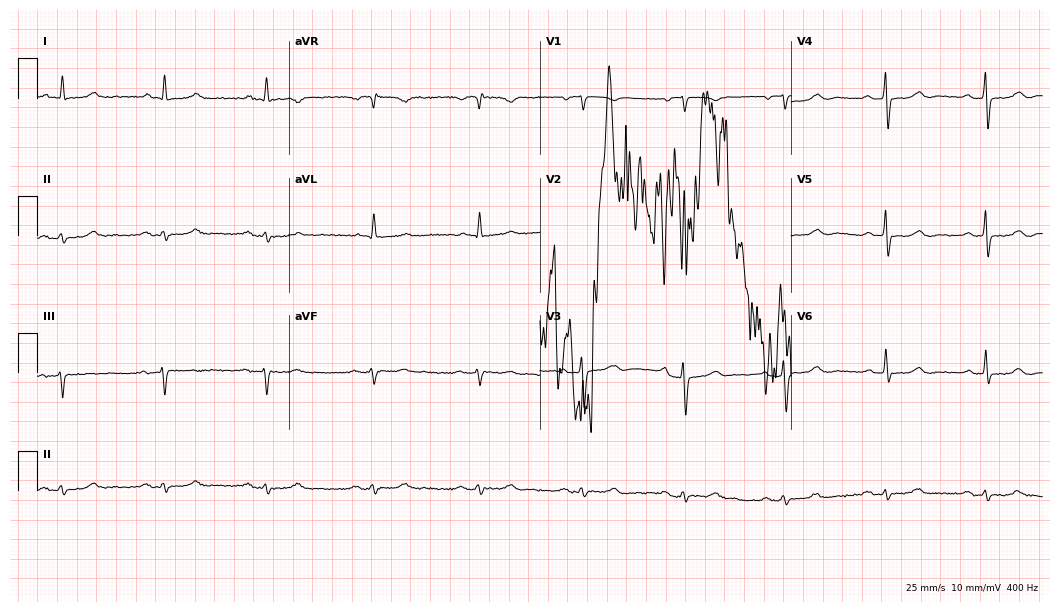
ECG (10.2-second recording at 400 Hz) — a man, 82 years old. Screened for six findings — first-degree AV block, right bundle branch block, left bundle branch block, sinus bradycardia, atrial fibrillation, sinus tachycardia — none is recorded. Findings outside these six are not listed.